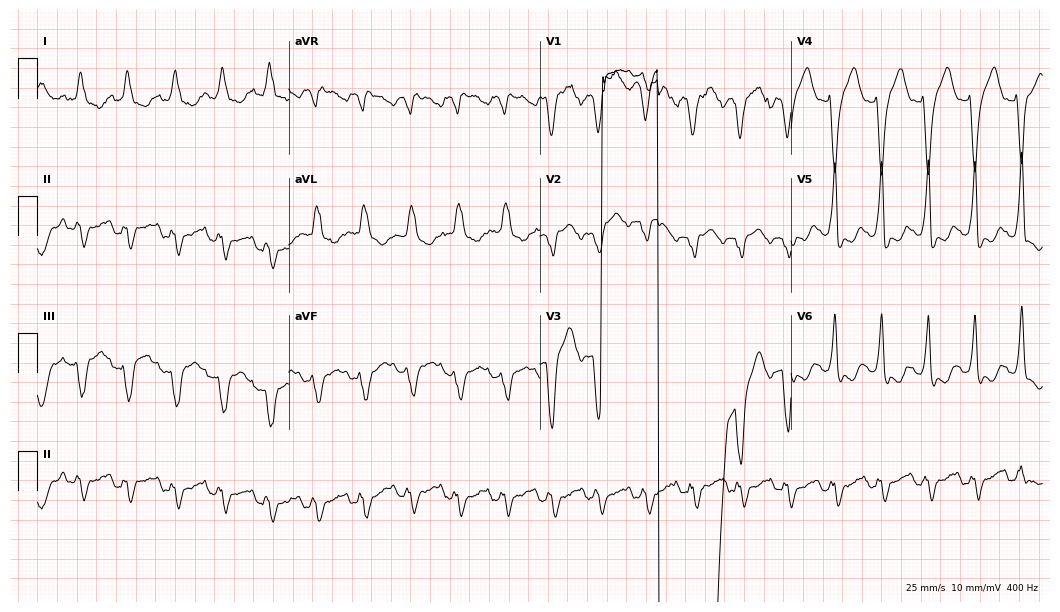
12-lead ECG from an 80-year-old female patient (10.2-second recording at 400 Hz). Shows left bundle branch block, sinus tachycardia (a sinus rate of 100 beats per minute or more).